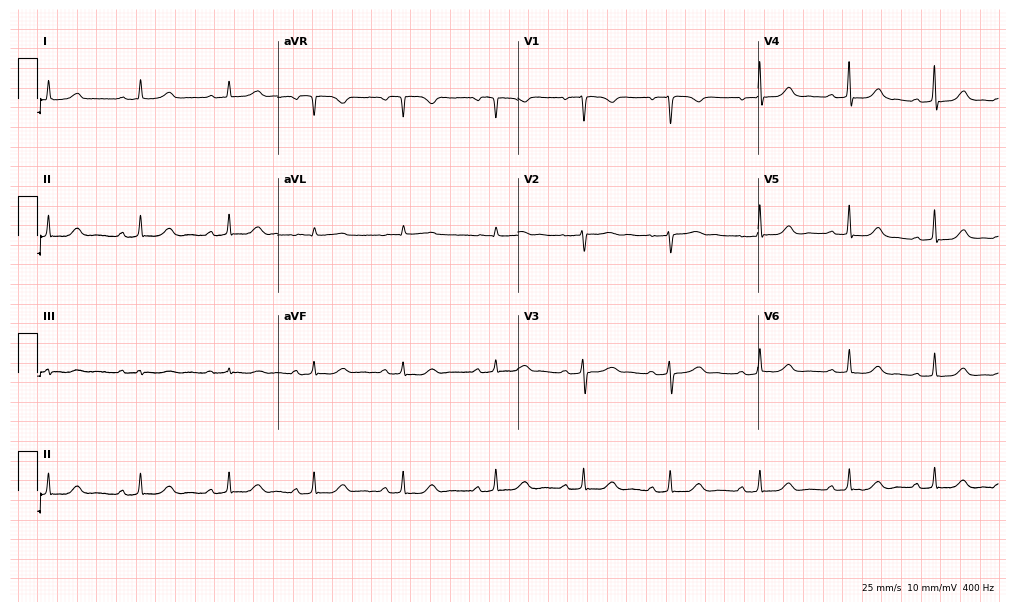
Electrocardiogram (9.8-second recording at 400 Hz), a 42-year-old female. Overall reading on record: normal ECG.